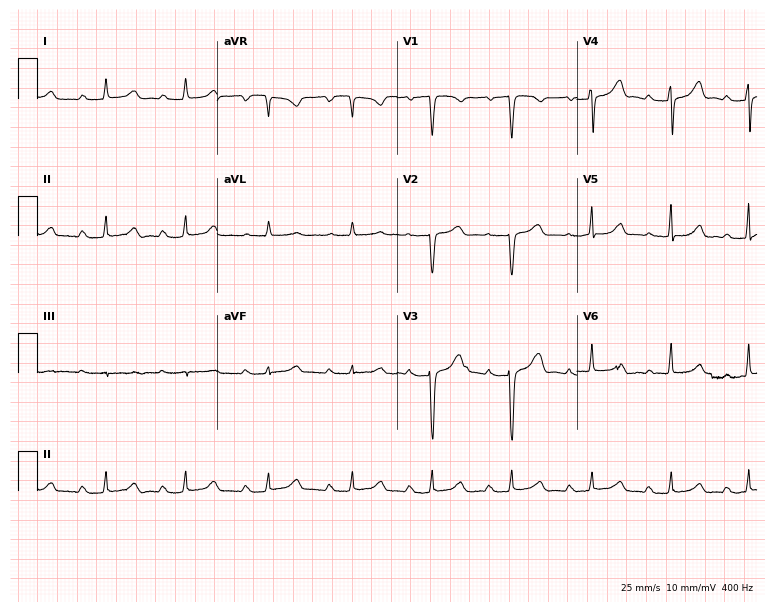
12-lead ECG from a 46-year-old female patient. Findings include first-degree AV block.